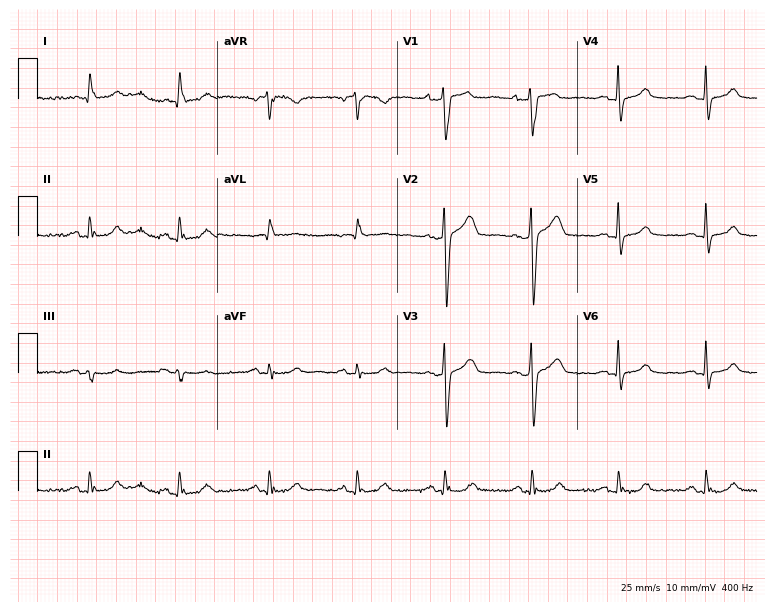
12-lead ECG (7.3-second recording at 400 Hz) from a 70-year-old male. Labelled as a normal ECG.